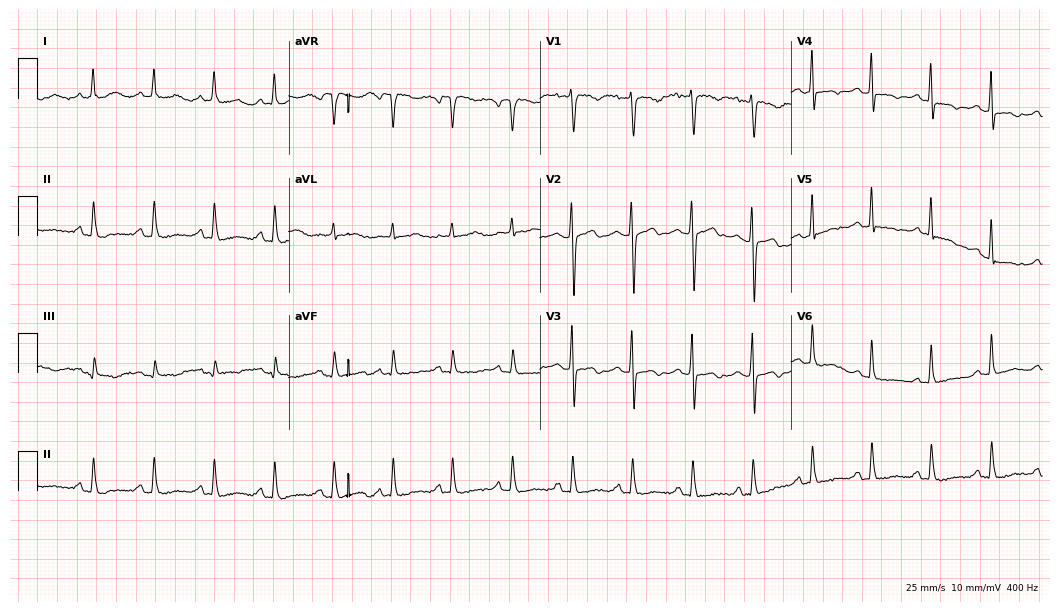
Resting 12-lead electrocardiogram (10.2-second recording at 400 Hz). Patient: a female, 44 years old. None of these six findings is recorded: first-degree AV block, right bundle branch block, left bundle branch block, sinus bradycardia, atrial fibrillation, sinus tachycardia.